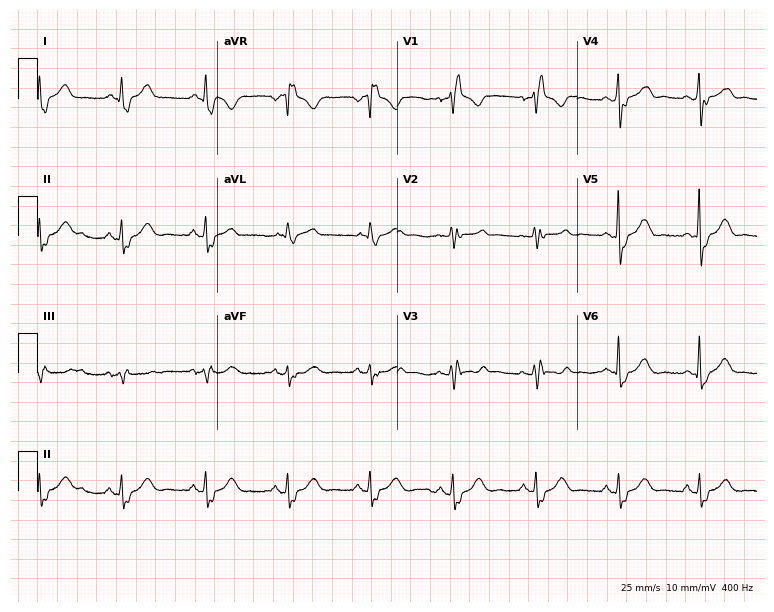
Standard 12-lead ECG recorded from a 52-year-old female. The tracing shows right bundle branch block (RBBB).